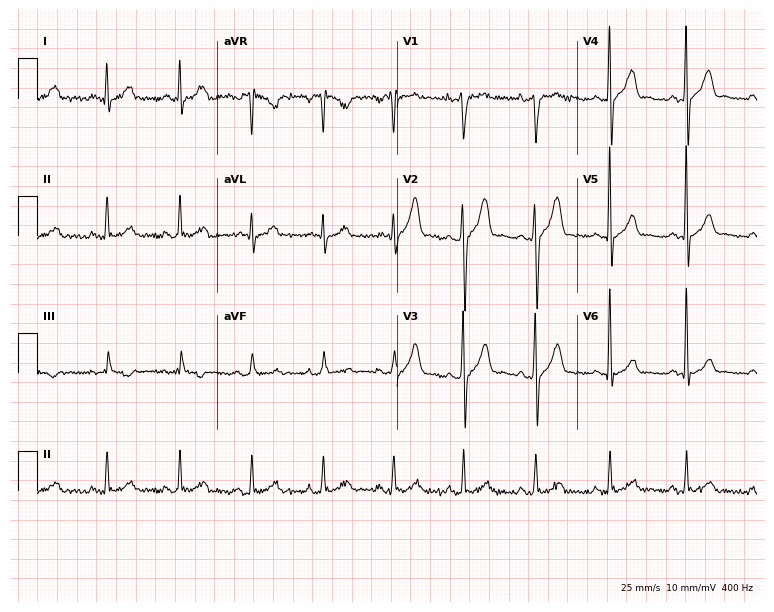
ECG — a 30-year-old male. Labelled as a normal ECG.